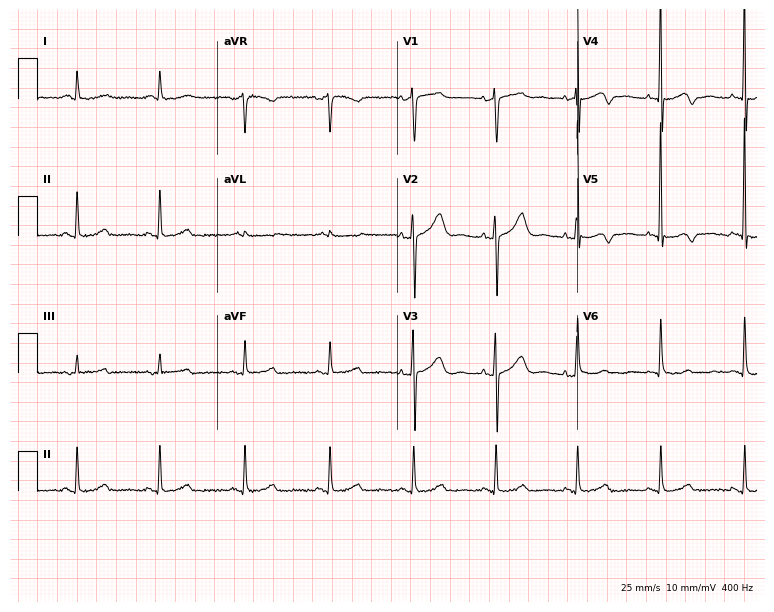
ECG (7.3-second recording at 400 Hz) — an 85-year-old woman. Screened for six findings — first-degree AV block, right bundle branch block, left bundle branch block, sinus bradycardia, atrial fibrillation, sinus tachycardia — none is recorded.